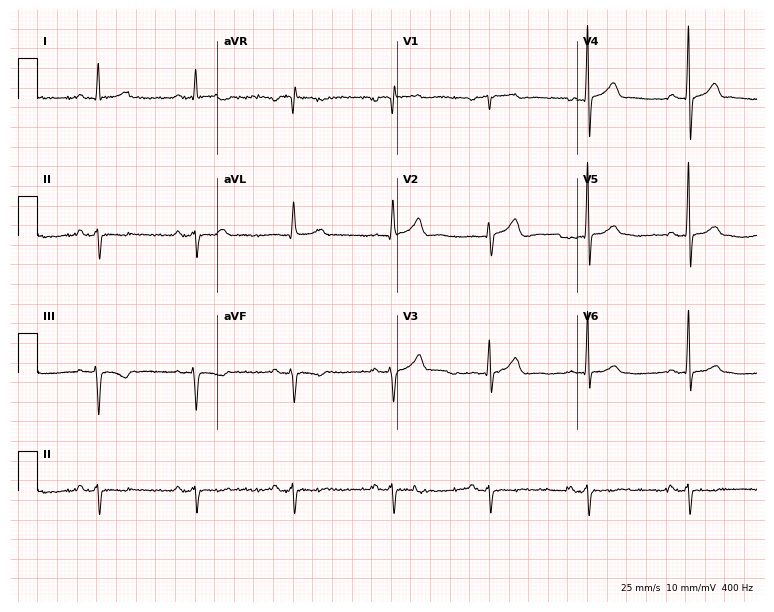
Resting 12-lead electrocardiogram. Patient: a 64-year-old male. None of these six findings is recorded: first-degree AV block, right bundle branch block, left bundle branch block, sinus bradycardia, atrial fibrillation, sinus tachycardia. Findings outside these six are not listed.